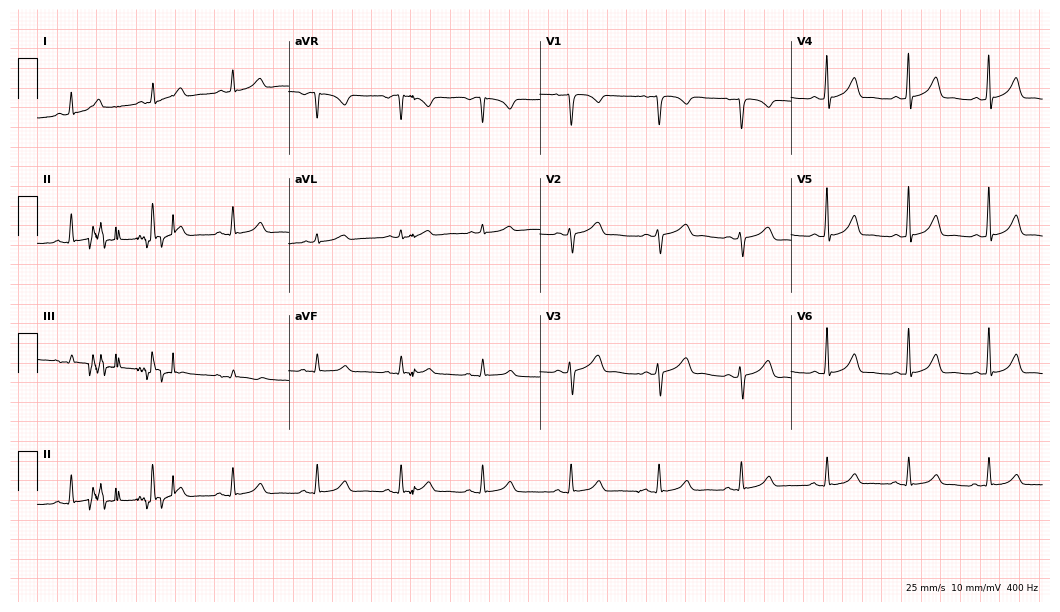
12-lead ECG from a 39-year-old female patient. Recorded interpretation: within normal limits.